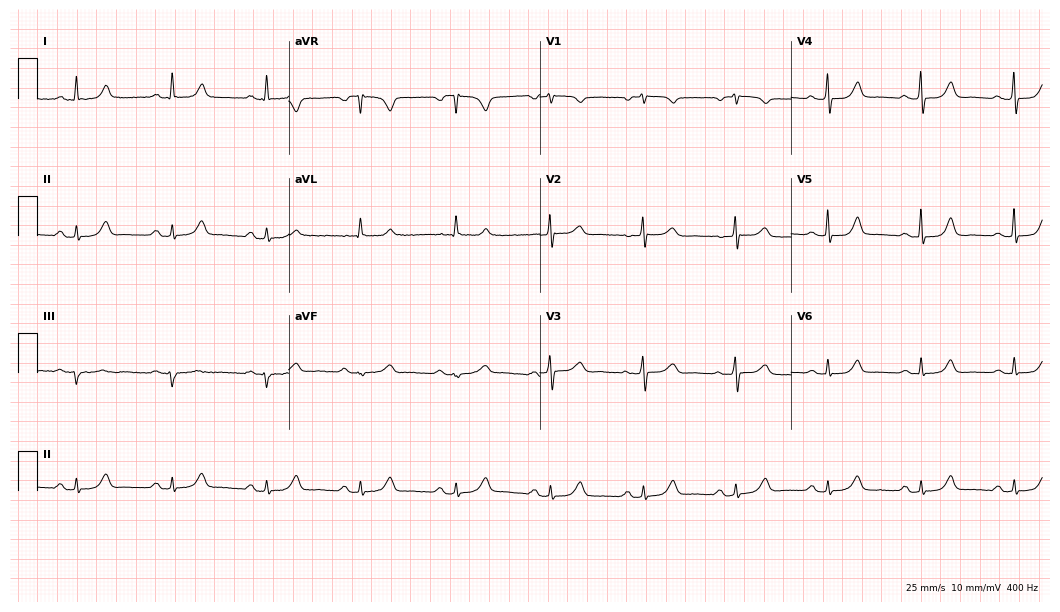
12-lead ECG from a woman, 76 years old. Labelled as a normal ECG.